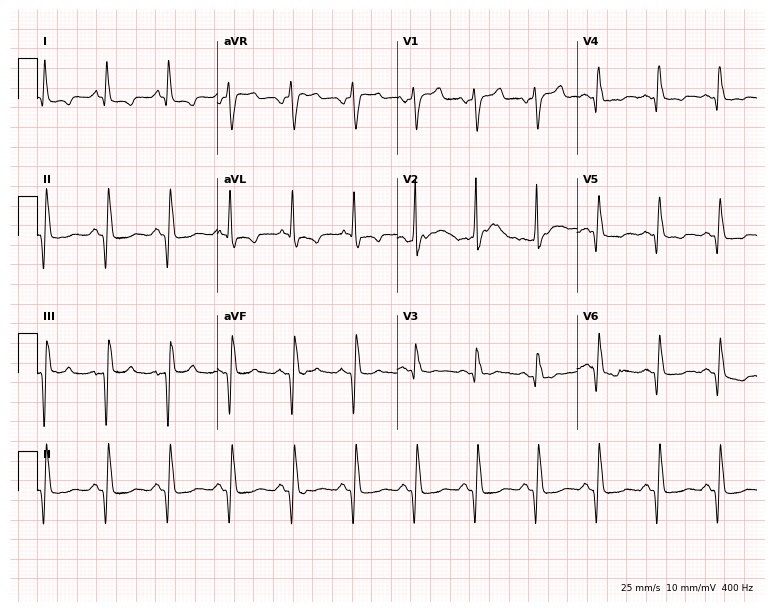
Standard 12-lead ECG recorded from a male, 54 years old (7.3-second recording at 400 Hz). None of these six findings is recorded: first-degree AV block, right bundle branch block, left bundle branch block, sinus bradycardia, atrial fibrillation, sinus tachycardia. Other findings, if any, are not listed.